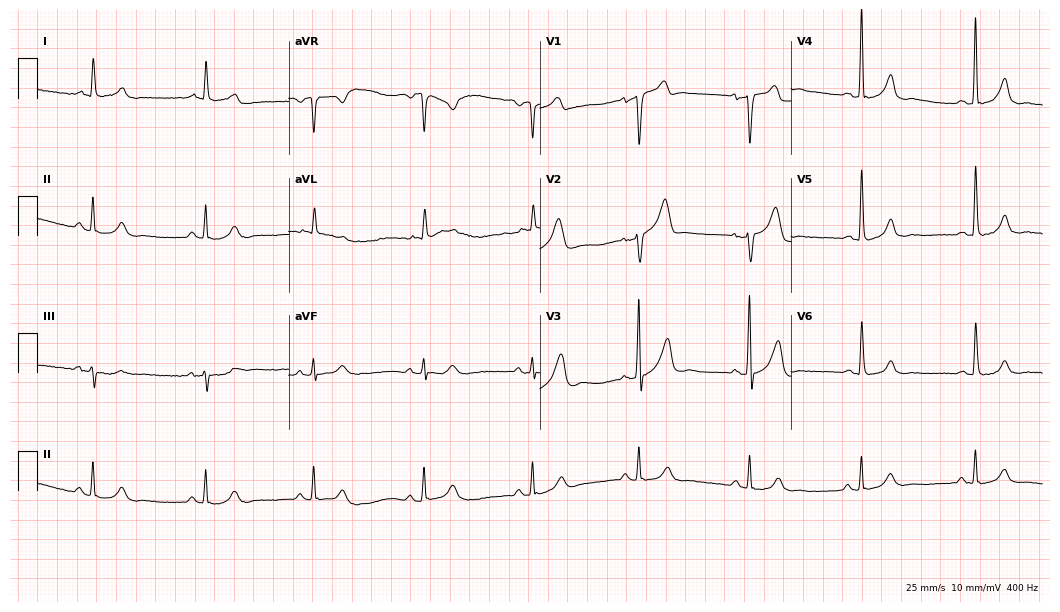
12-lead ECG (10.2-second recording at 400 Hz) from a male, 64 years old. Screened for six findings — first-degree AV block, right bundle branch block, left bundle branch block, sinus bradycardia, atrial fibrillation, sinus tachycardia — none is recorded. Other findings, if any, are not listed.